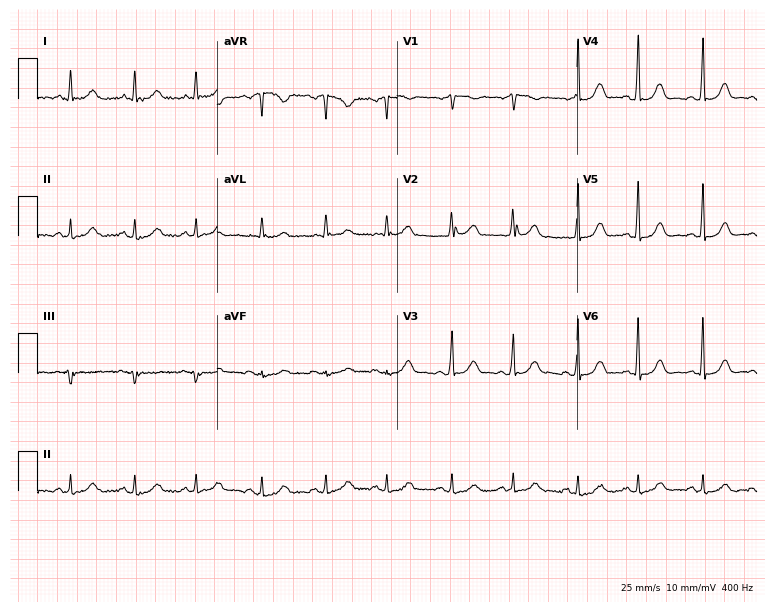
ECG — a male, 66 years old. Labelled as a normal ECG.